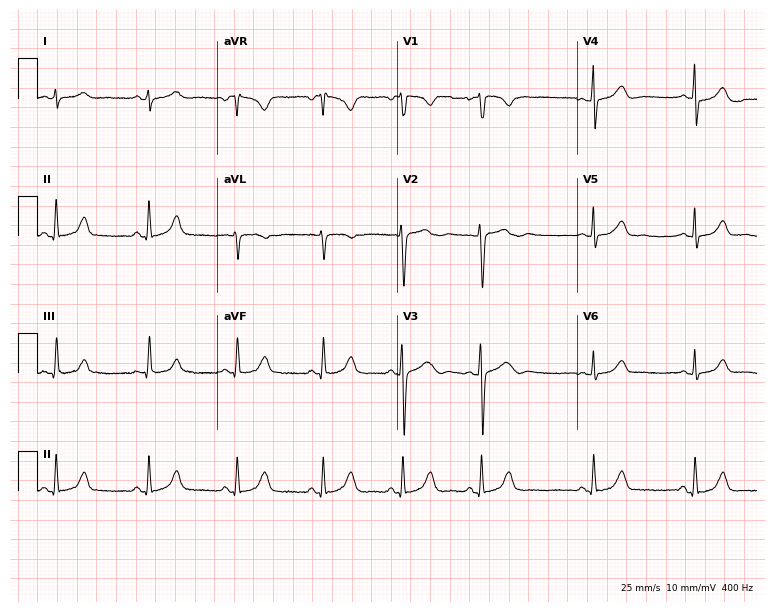
12-lead ECG from a female patient, 18 years old. Screened for six findings — first-degree AV block, right bundle branch block, left bundle branch block, sinus bradycardia, atrial fibrillation, sinus tachycardia — none is recorded. Other findings, if any, are not listed.